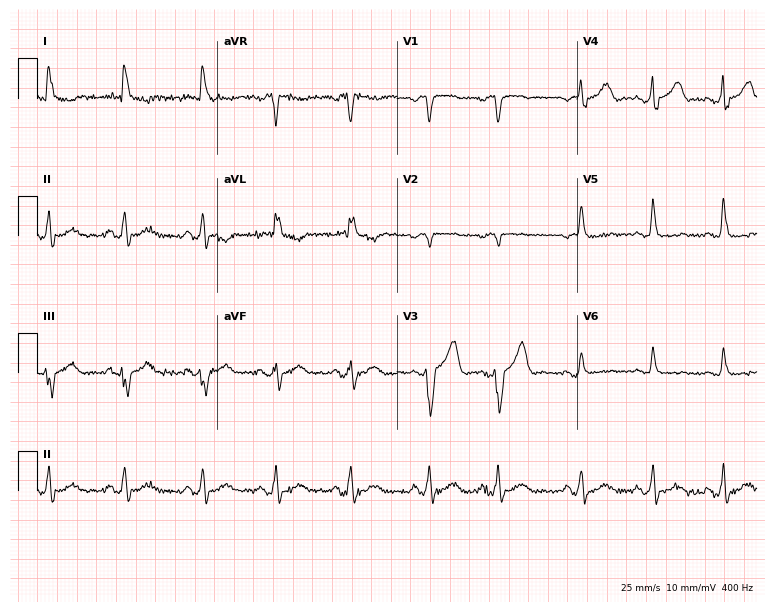
12-lead ECG (7.3-second recording at 400 Hz) from a female patient, 75 years old. Findings include left bundle branch block.